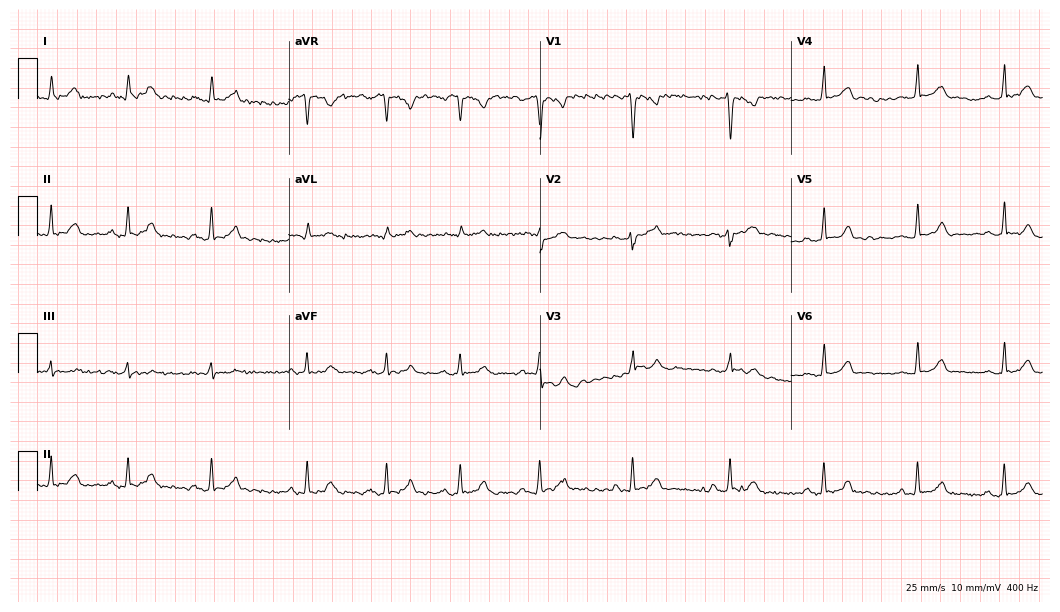
Standard 12-lead ECG recorded from a 30-year-old woman. Read as a normal ECG.